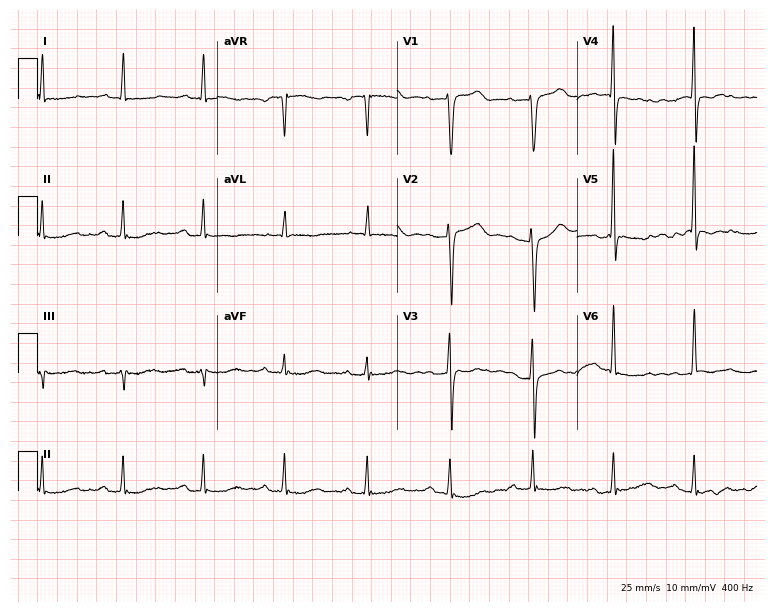
12-lead ECG (7.3-second recording at 400 Hz) from a 57-year-old female. Screened for six findings — first-degree AV block, right bundle branch block, left bundle branch block, sinus bradycardia, atrial fibrillation, sinus tachycardia — none is recorded. Findings outside these six are not listed.